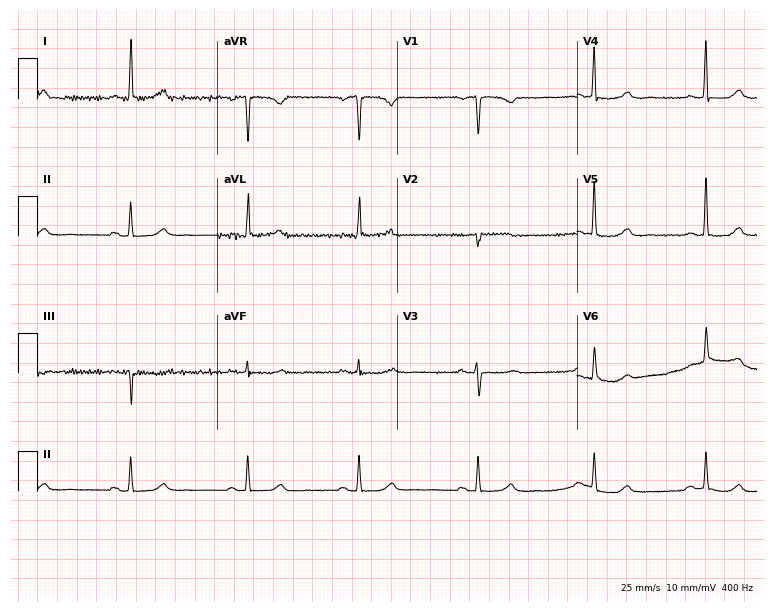
Electrocardiogram (7.3-second recording at 400 Hz), a female patient, 64 years old. Of the six screened findings (first-degree AV block, right bundle branch block (RBBB), left bundle branch block (LBBB), sinus bradycardia, atrial fibrillation (AF), sinus tachycardia), none is recorded.